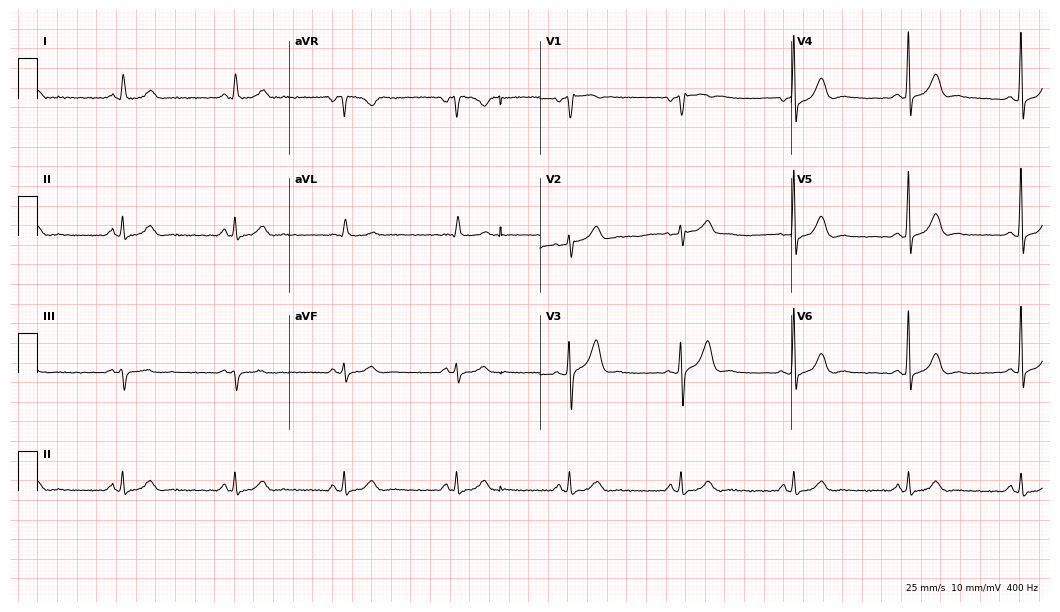
Resting 12-lead electrocardiogram (10.2-second recording at 400 Hz). Patient: a male, 58 years old. Read as a normal ECG.